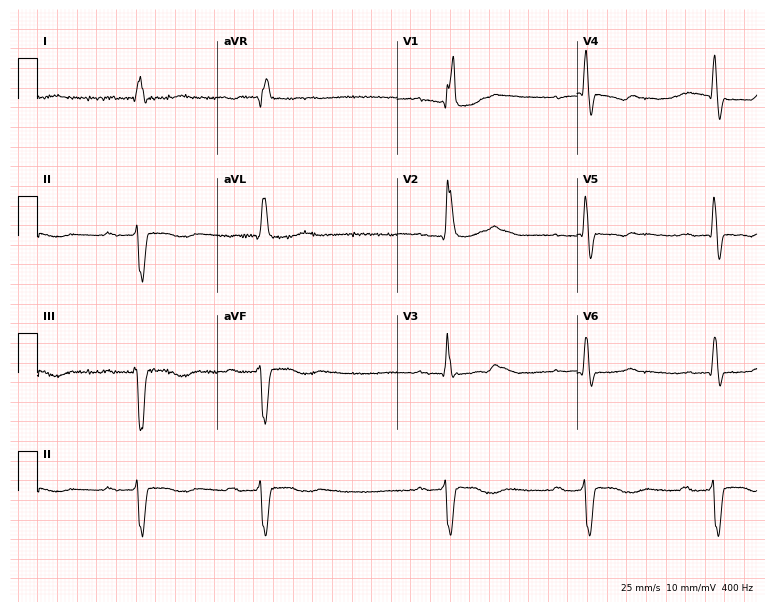
Standard 12-lead ECG recorded from a male patient, 83 years old. The tracing shows first-degree AV block, right bundle branch block, sinus bradycardia (a sinus rate of 50 beats per minute or less).